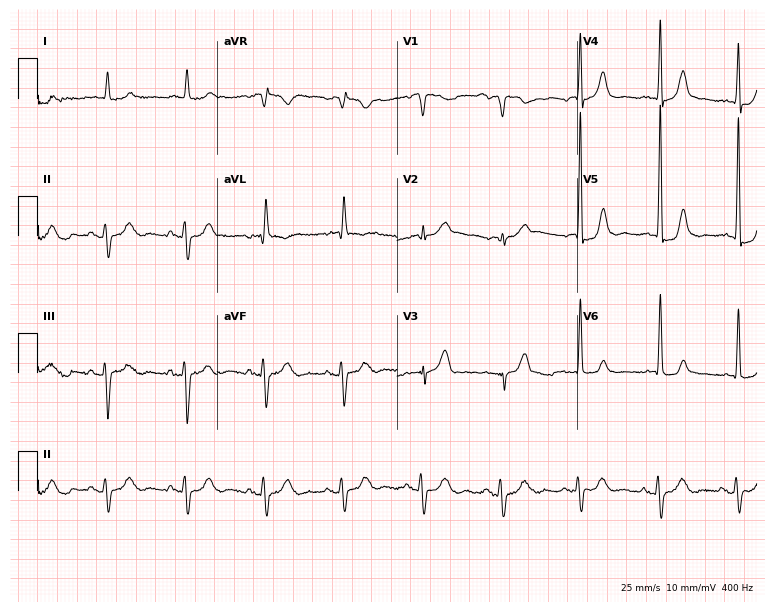
Resting 12-lead electrocardiogram (7.3-second recording at 400 Hz). Patient: an 83-year-old male. None of these six findings is recorded: first-degree AV block, right bundle branch block (RBBB), left bundle branch block (LBBB), sinus bradycardia, atrial fibrillation (AF), sinus tachycardia.